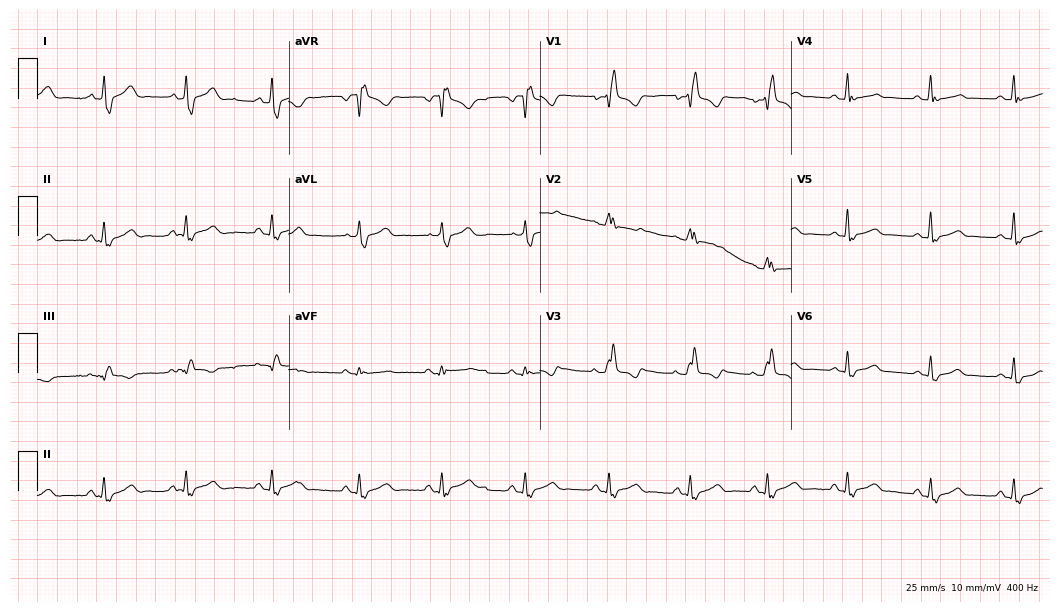
Standard 12-lead ECG recorded from a 39-year-old woman. The tracing shows atrial fibrillation.